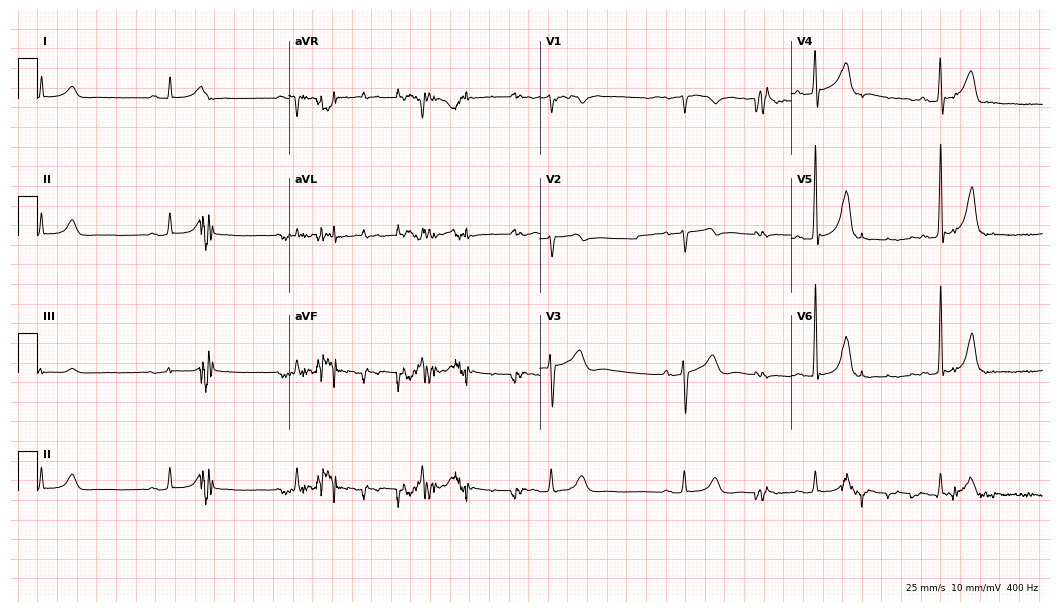
12-lead ECG from a 68-year-old male patient. No first-degree AV block, right bundle branch block, left bundle branch block, sinus bradycardia, atrial fibrillation or sinus tachycardia recorded for this tracing. Findings outside these six are not listed.